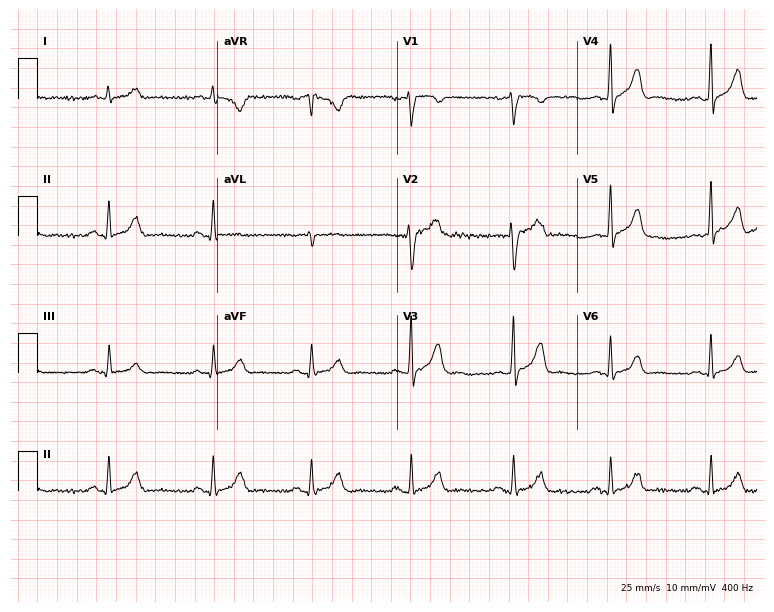
Resting 12-lead electrocardiogram. Patient: a 41-year-old male. Read as a normal ECG.